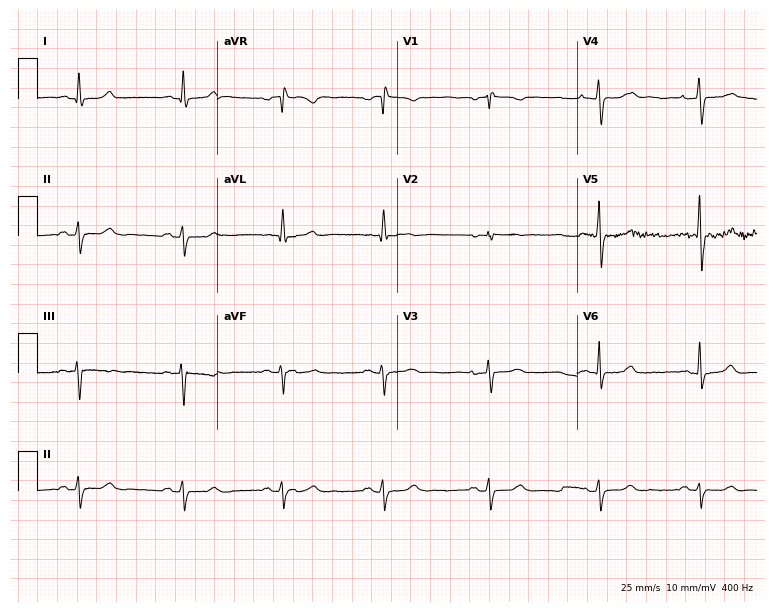
Standard 12-lead ECG recorded from a 59-year-old woman (7.3-second recording at 400 Hz). None of these six findings is recorded: first-degree AV block, right bundle branch block, left bundle branch block, sinus bradycardia, atrial fibrillation, sinus tachycardia. Findings outside these six are not listed.